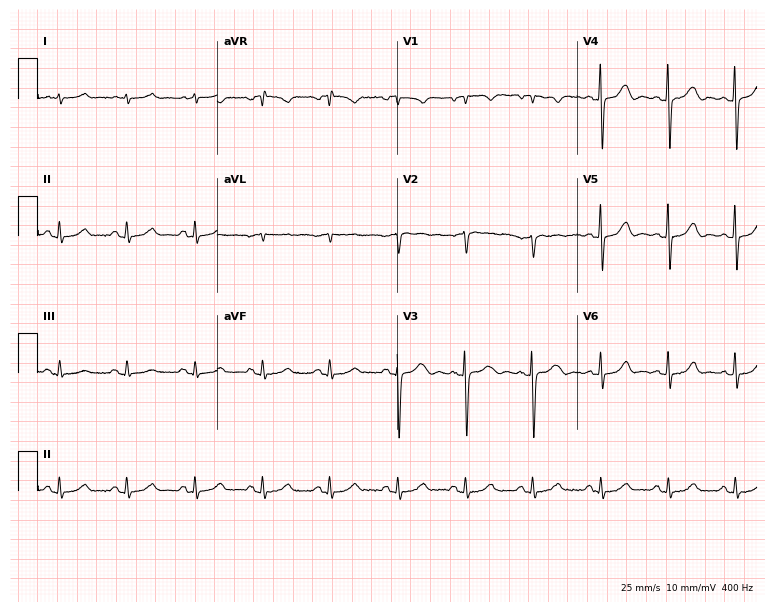
Standard 12-lead ECG recorded from a woman, 85 years old (7.3-second recording at 400 Hz). None of these six findings is recorded: first-degree AV block, right bundle branch block (RBBB), left bundle branch block (LBBB), sinus bradycardia, atrial fibrillation (AF), sinus tachycardia.